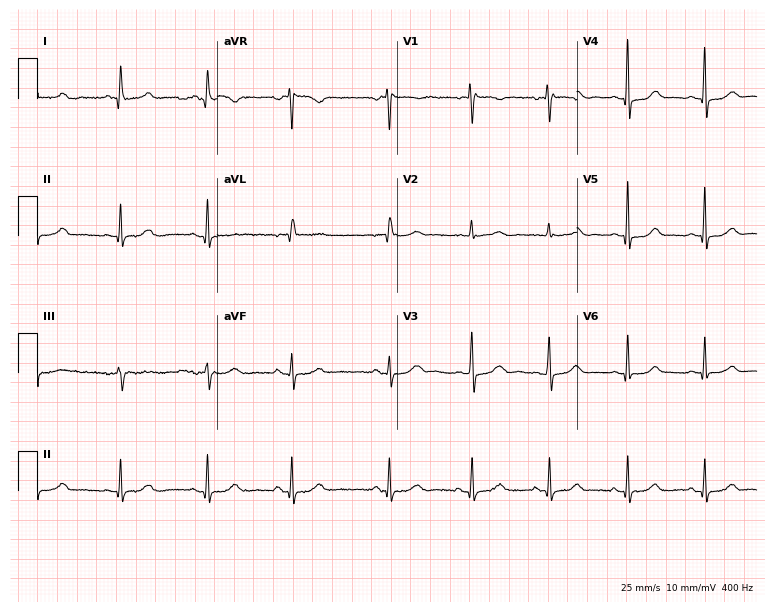
ECG — a 69-year-old female patient. Labelled as a normal ECG.